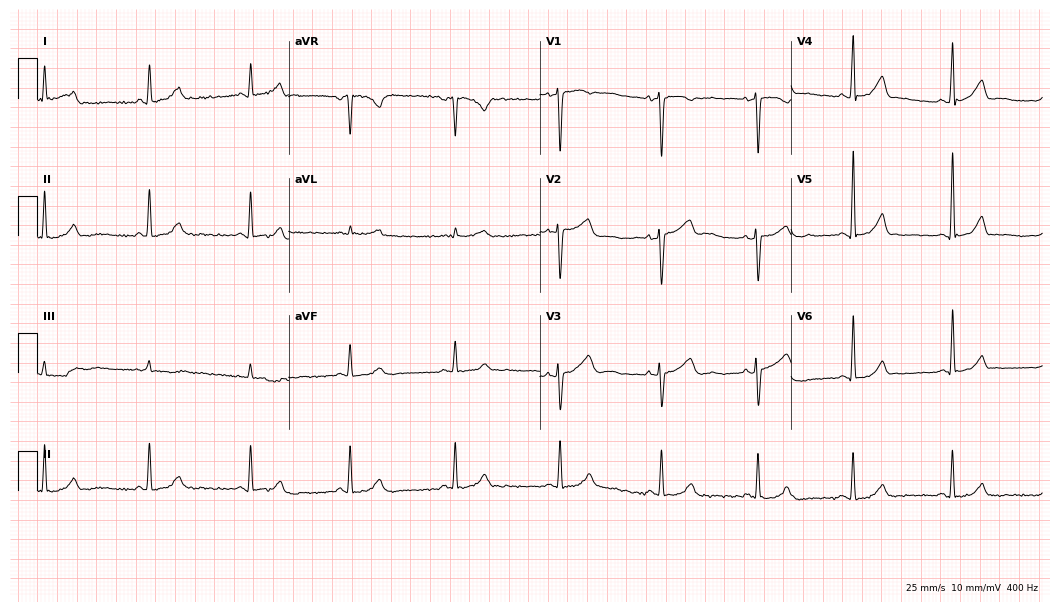
12-lead ECG from a man, 41 years old. Labelled as a normal ECG.